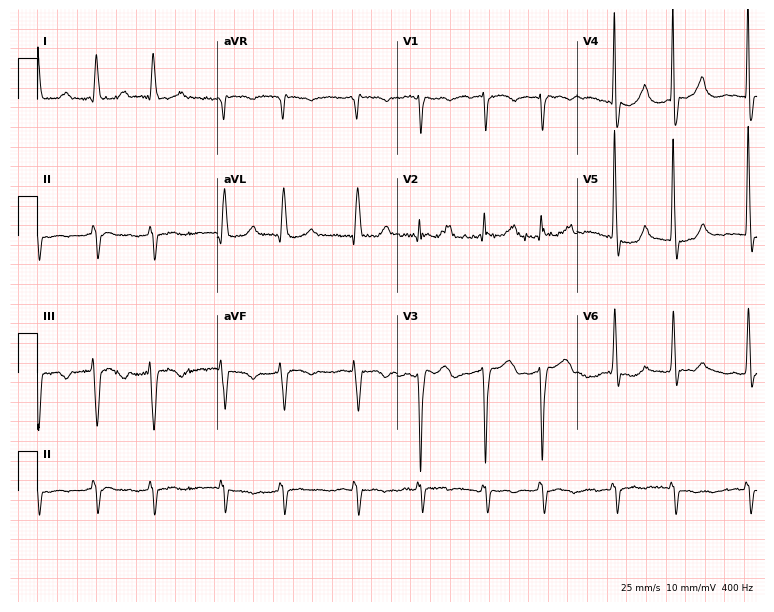
Resting 12-lead electrocardiogram (7.3-second recording at 400 Hz). Patient: a female, 85 years old. None of these six findings is recorded: first-degree AV block, right bundle branch block (RBBB), left bundle branch block (LBBB), sinus bradycardia, atrial fibrillation (AF), sinus tachycardia.